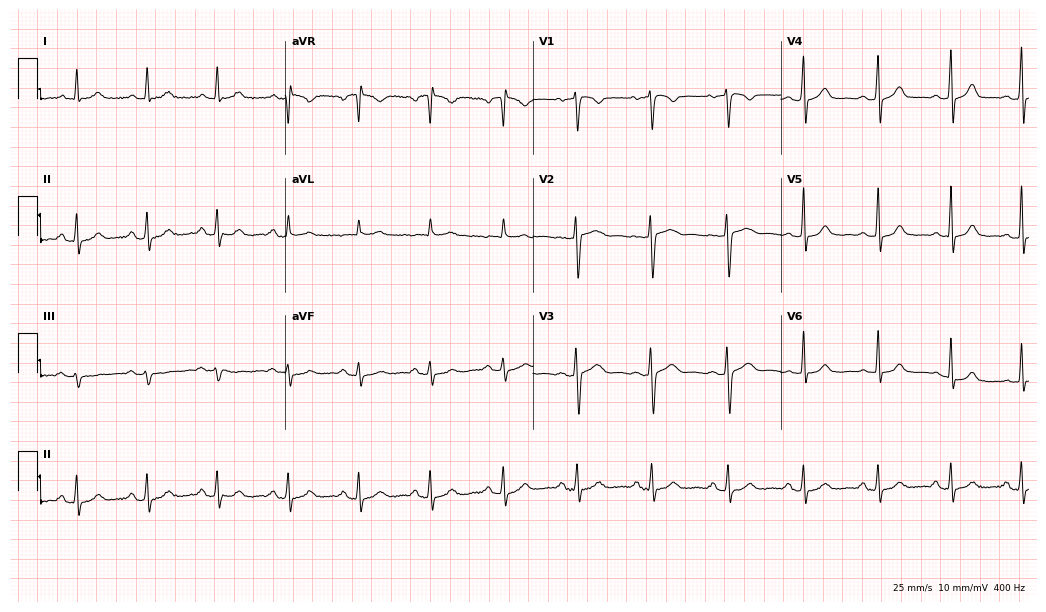
12-lead ECG from a female, 30 years old. Labelled as a normal ECG.